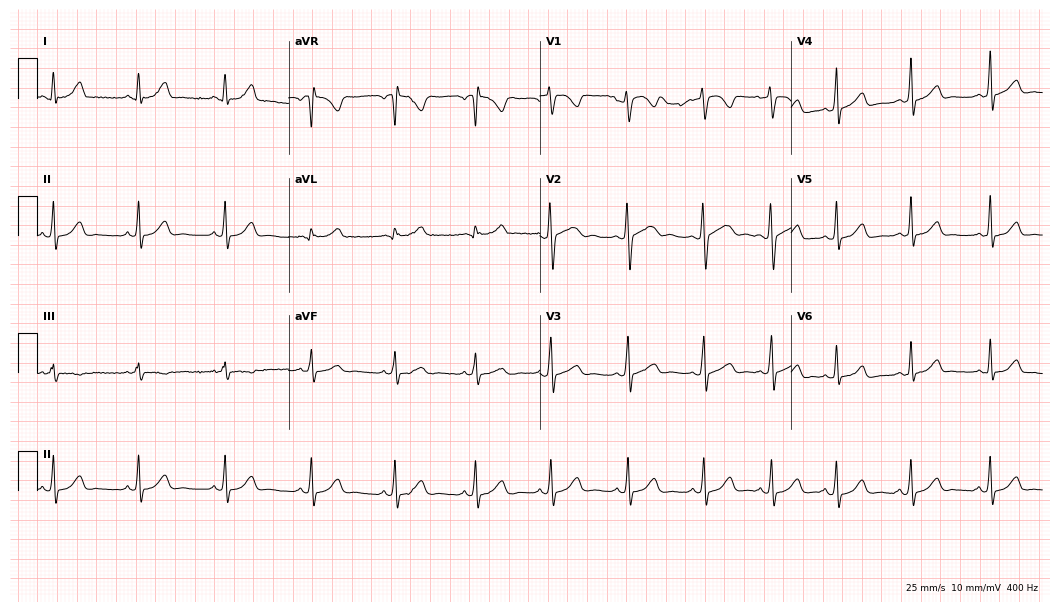
ECG (10.2-second recording at 400 Hz) — a 22-year-old female patient. Labelled as a normal ECG.